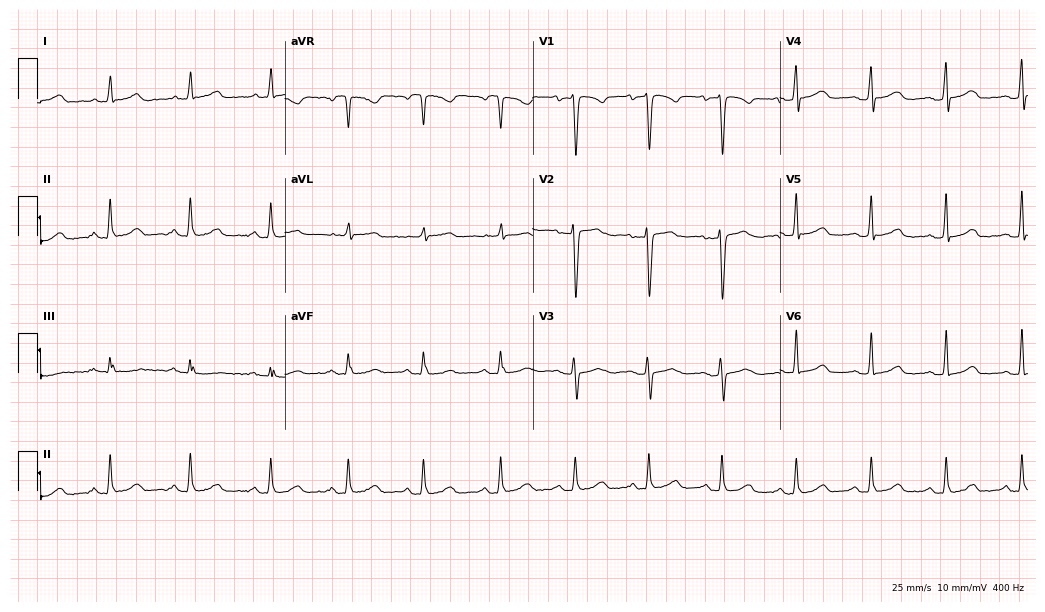
12-lead ECG from a 39-year-old female patient (10.1-second recording at 400 Hz). Recorded interpretation: within normal limits.